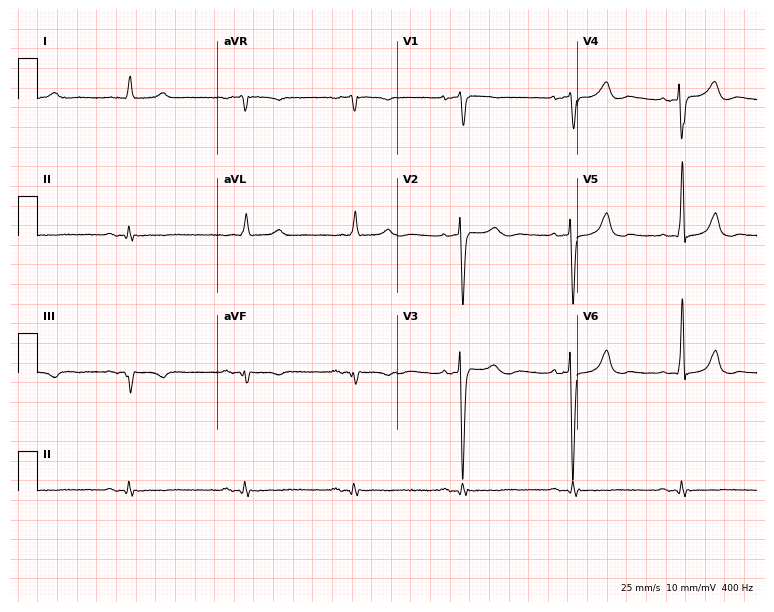
Resting 12-lead electrocardiogram (7.3-second recording at 400 Hz). Patient: a 77-year-old man. None of these six findings is recorded: first-degree AV block, right bundle branch block, left bundle branch block, sinus bradycardia, atrial fibrillation, sinus tachycardia. Findings outside these six are not listed.